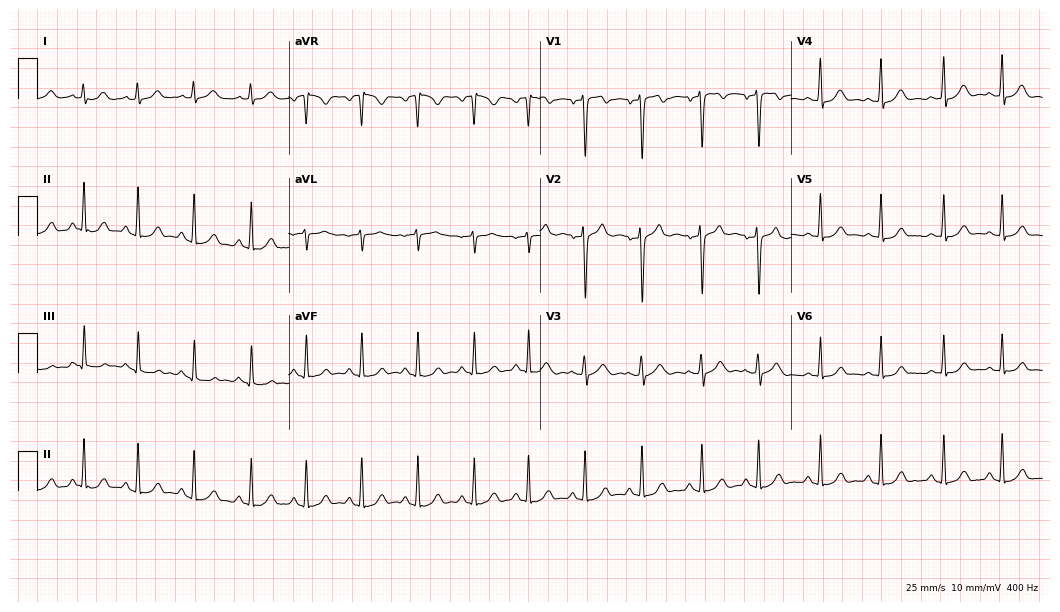
12-lead ECG from a female, 22 years old (10.2-second recording at 400 Hz). Shows sinus tachycardia (a sinus rate of 100 beats per minute or more).